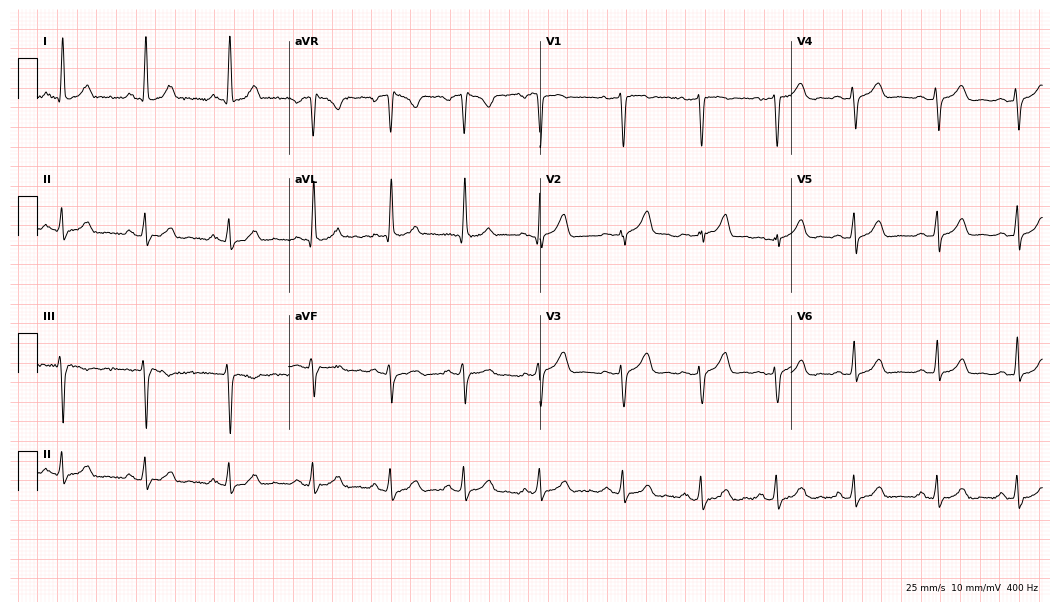
12-lead ECG from a 32-year-old female patient. No first-degree AV block, right bundle branch block (RBBB), left bundle branch block (LBBB), sinus bradycardia, atrial fibrillation (AF) or sinus tachycardia recorded for this tracing. Findings outside these six are not listed.